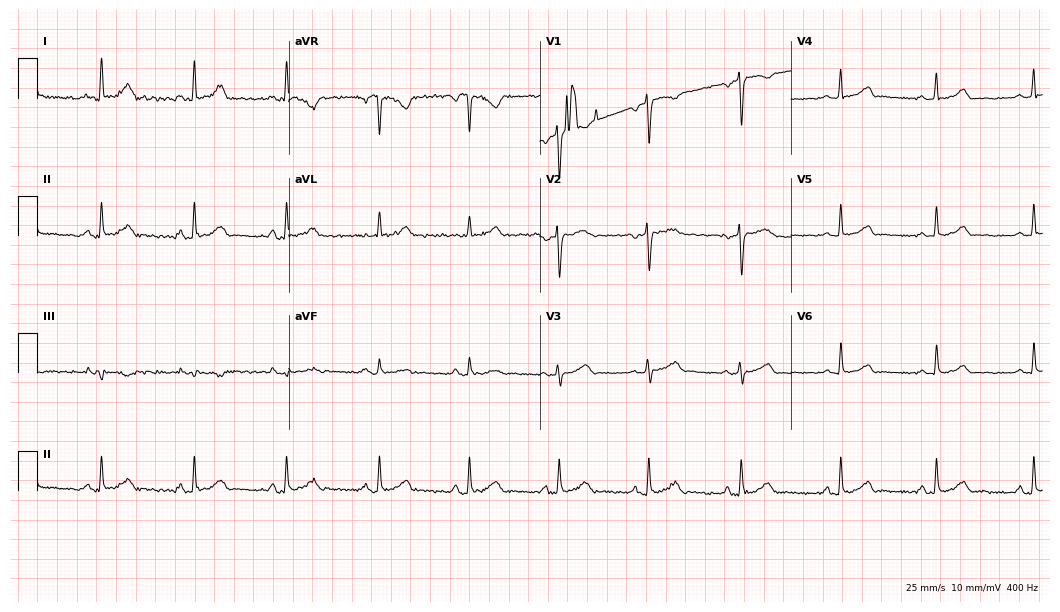
Electrocardiogram (10.2-second recording at 400 Hz), a female, 37 years old. Overall reading on record: normal ECG.